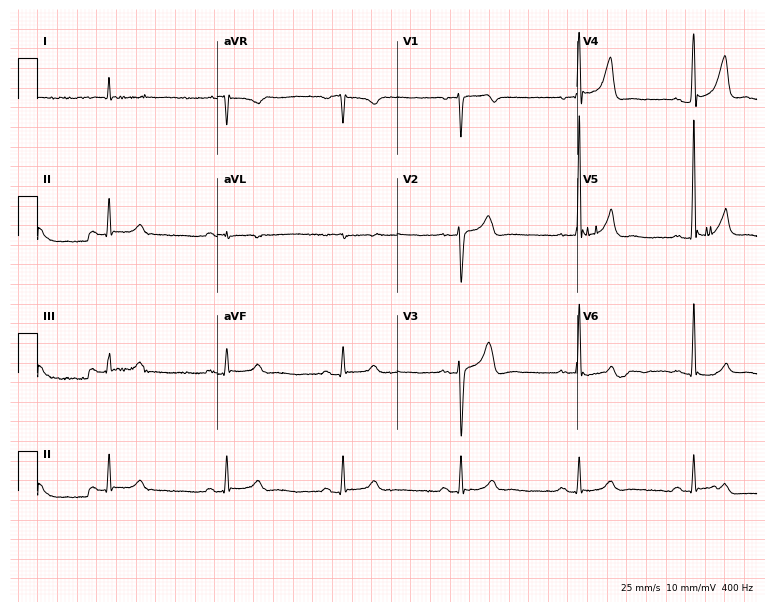
12-lead ECG (7.3-second recording at 400 Hz) from a man, 69 years old. Screened for six findings — first-degree AV block, right bundle branch block, left bundle branch block, sinus bradycardia, atrial fibrillation, sinus tachycardia — none is recorded. Findings outside these six are not listed.